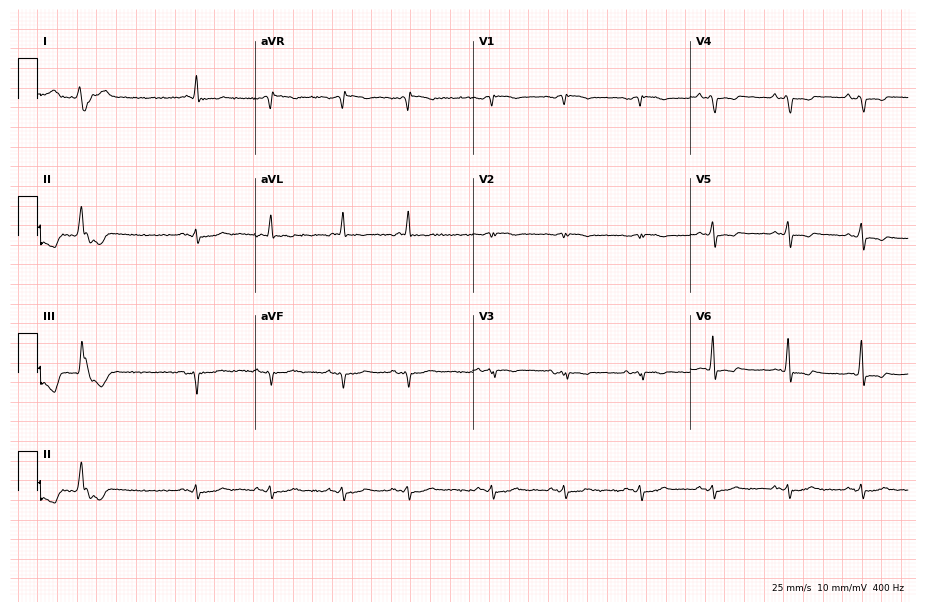
Electrocardiogram (8.9-second recording at 400 Hz), an 84-year-old male patient. Overall reading on record: normal ECG.